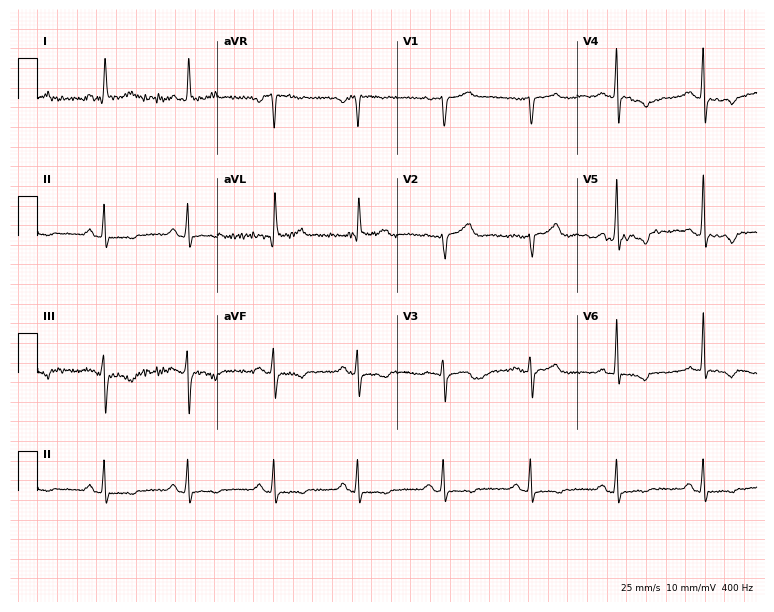
ECG (7.3-second recording at 400 Hz) — a female patient, 84 years old. Screened for six findings — first-degree AV block, right bundle branch block (RBBB), left bundle branch block (LBBB), sinus bradycardia, atrial fibrillation (AF), sinus tachycardia — none is recorded. Only these six findings were labelled.